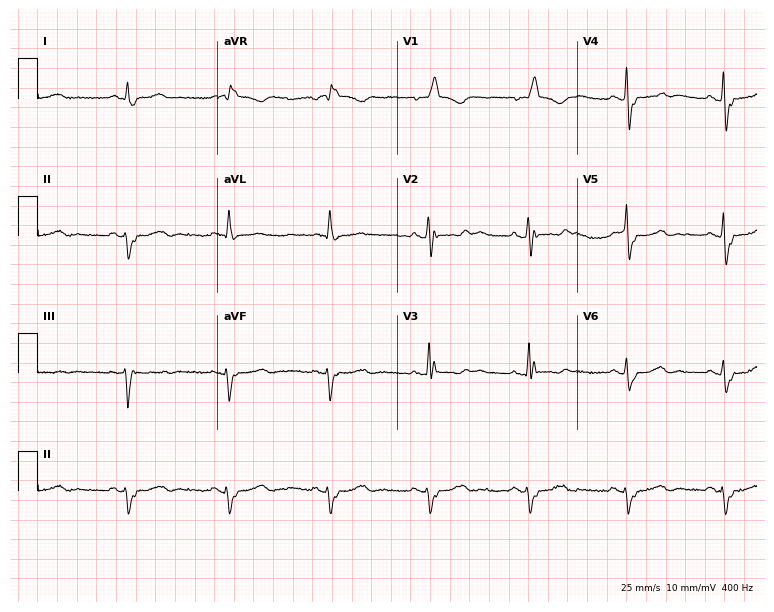
12-lead ECG from a 77-year-old male. Shows right bundle branch block (RBBB).